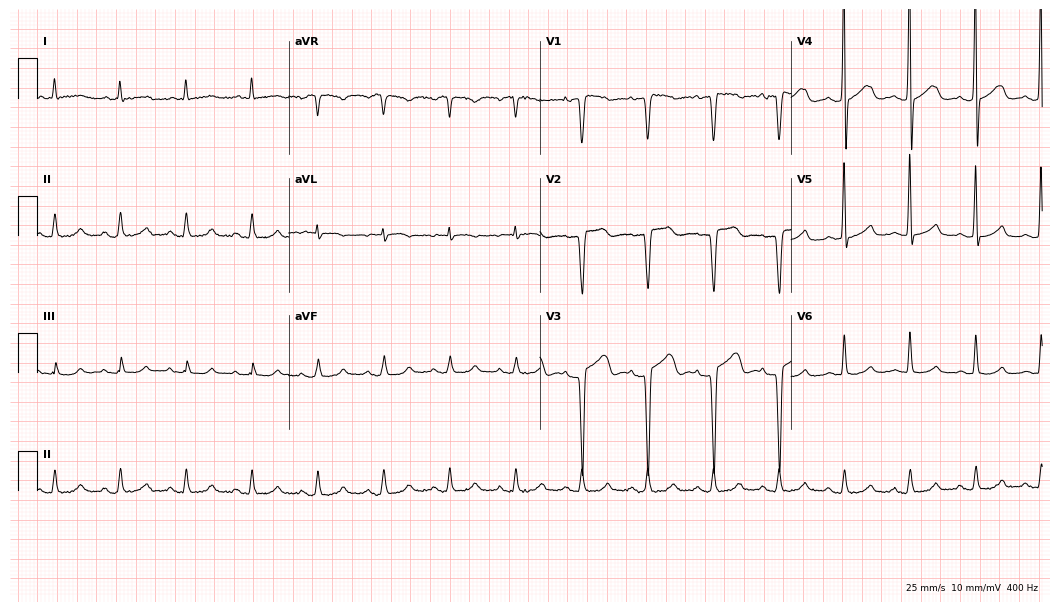
Electrocardiogram (10.2-second recording at 400 Hz), an 82-year-old man. Of the six screened findings (first-degree AV block, right bundle branch block, left bundle branch block, sinus bradycardia, atrial fibrillation, sinus tachycardia), none is recorded.